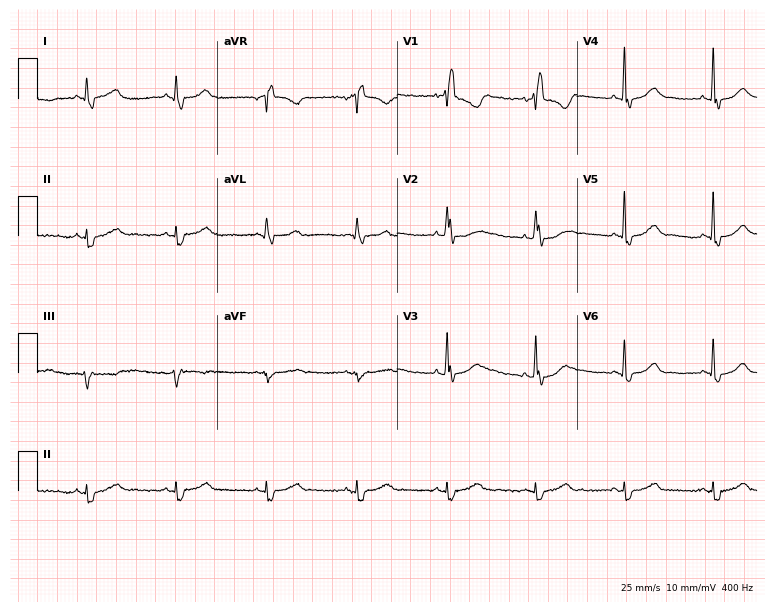
Electrocardiogram (7.3-second recording at 400 Hz), a female patient, 44 years old. Interpretation includes right bundle branch block.